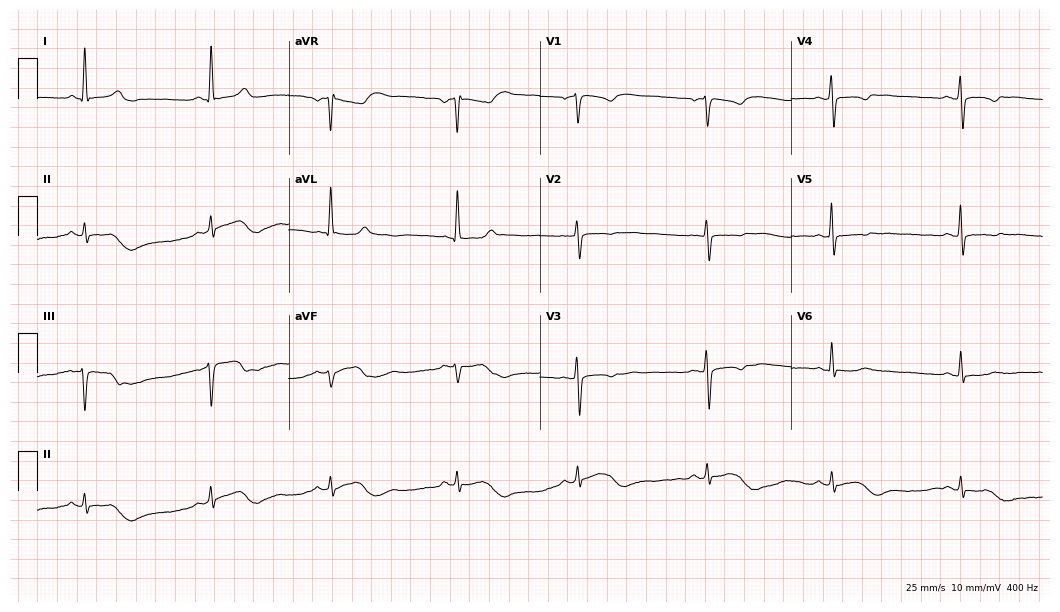
12-lead ECG from a 65-year-old female. No first-degree AV block, right bundle branch block, left bundle branch block, sinus bradycardia, atrial fibrillation or sinus tachycardia recorded for this tracing.